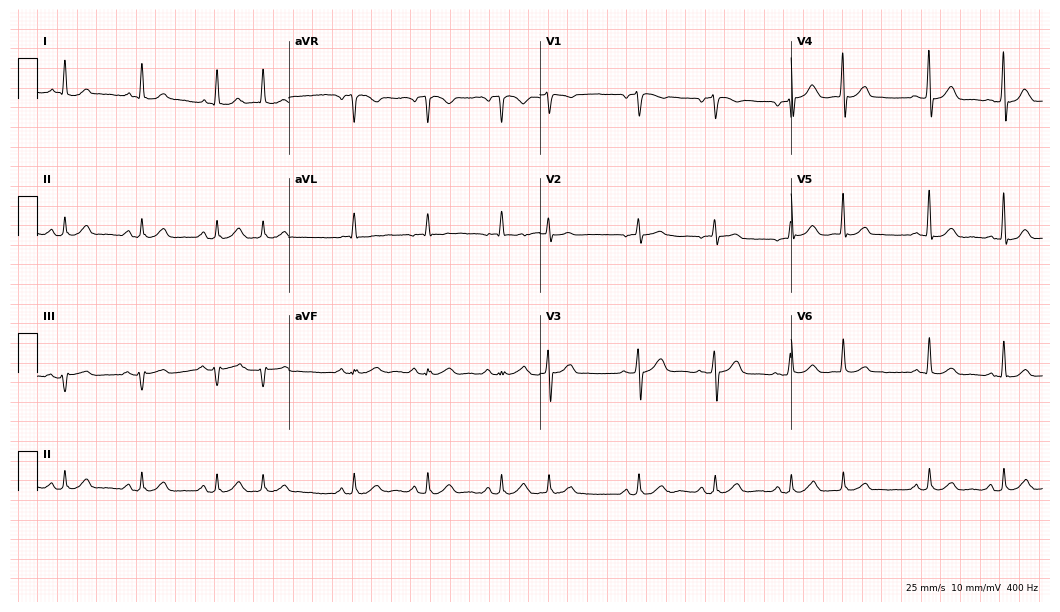
12-lead ECG (10.2-second recording at 400 Hz) from a 76-year-old man. Screened for six findings — first-degree AV block, right bundle branch block, left bundle branch block, sinus bradycardia, atrial fibrillation, sinus tachycardia — none is recorded. Findings outside these six are not listed.